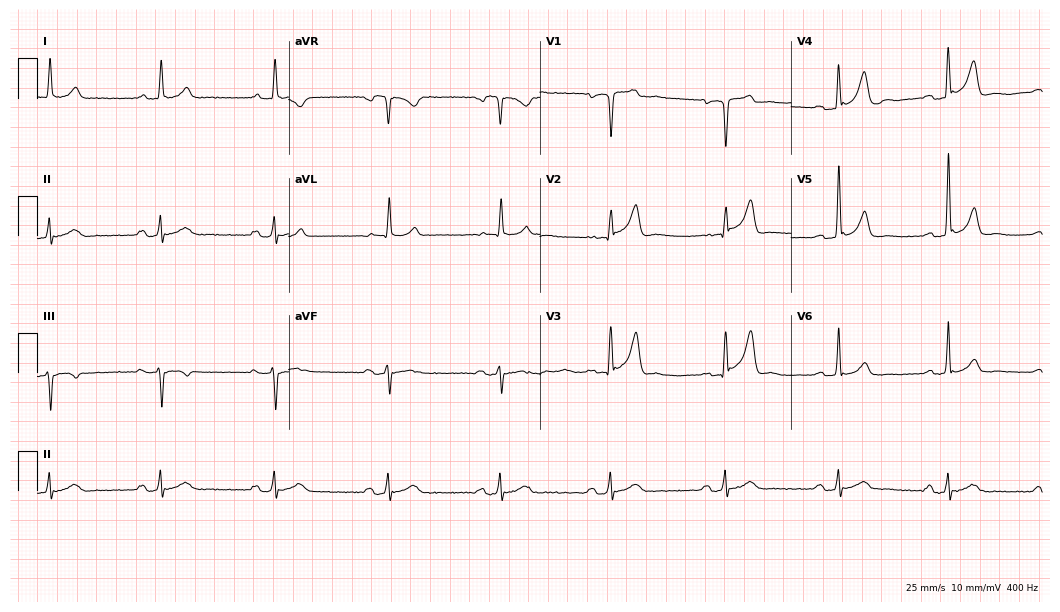
Electrocardiogram, a 72-year-old male. Of the six screened findings (first-degree AV block, right bundle branch block, left bundle branch block, sinus bradycardia, atrial fibrillation, sinus tachycardia), none is recorded. Other findings, if any, are not listed.